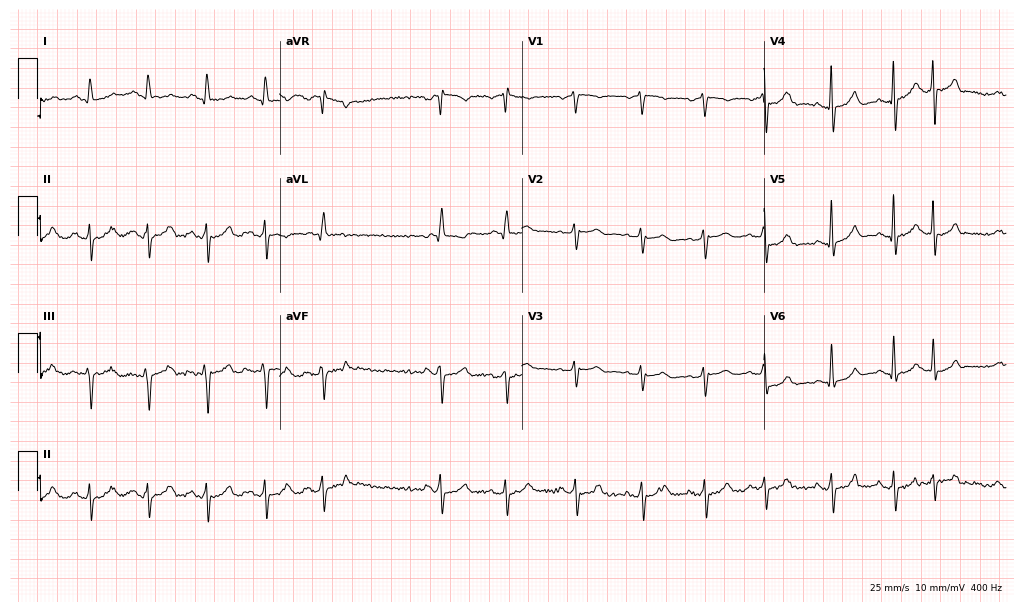
12-lead ECG from a 71-year-old male. Screened for six findings — first-degree AV block, right bundle branch block, left bundle branch block, sinus bradycardia, atrial fibrillation, sinus tachycardia — none is recorded.